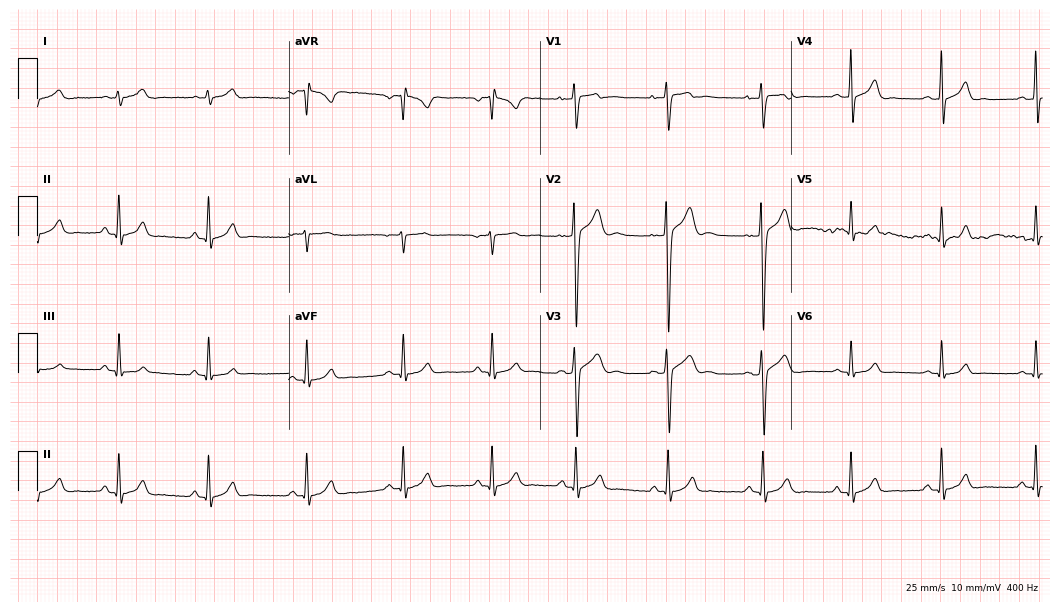
Resting 12-lead electrocardiogram (10.2-second recording at 400 Hz). Patient: a 25-year-old man. Read as a normal ECG.